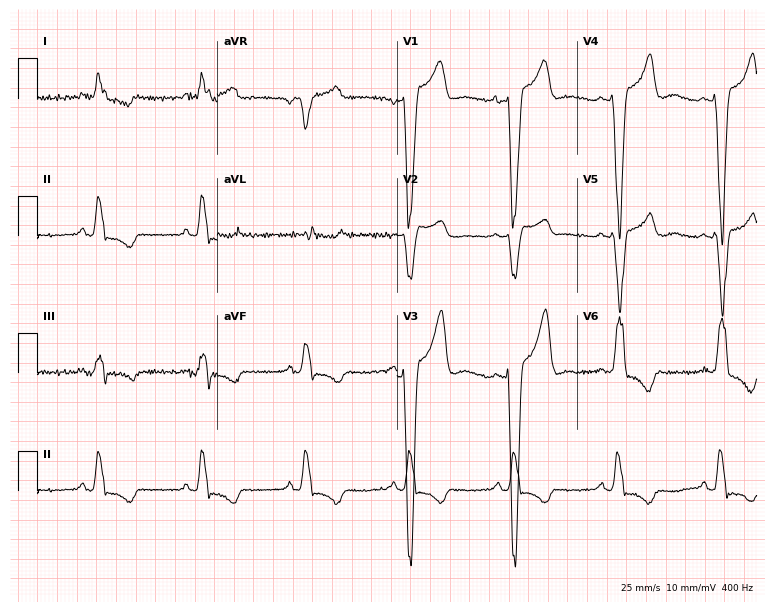
12-lead ECG from a male, 69 years old. No first-degree AV block, right bundle branch block (RBBB), left bundle branch block (LBBB), sinus bradycardia, atrial fibrillation (AF) or sinus tachycardia recorded for this tracing. Findings outside these six are not listed.